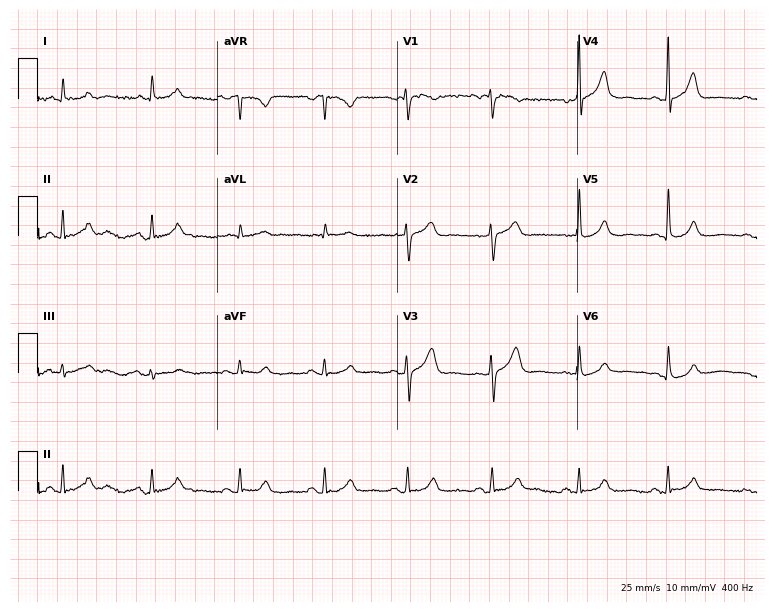
Resting 12-lead electrocardiogram. Patient: a man, 64 years old. Read as a normal ECG.